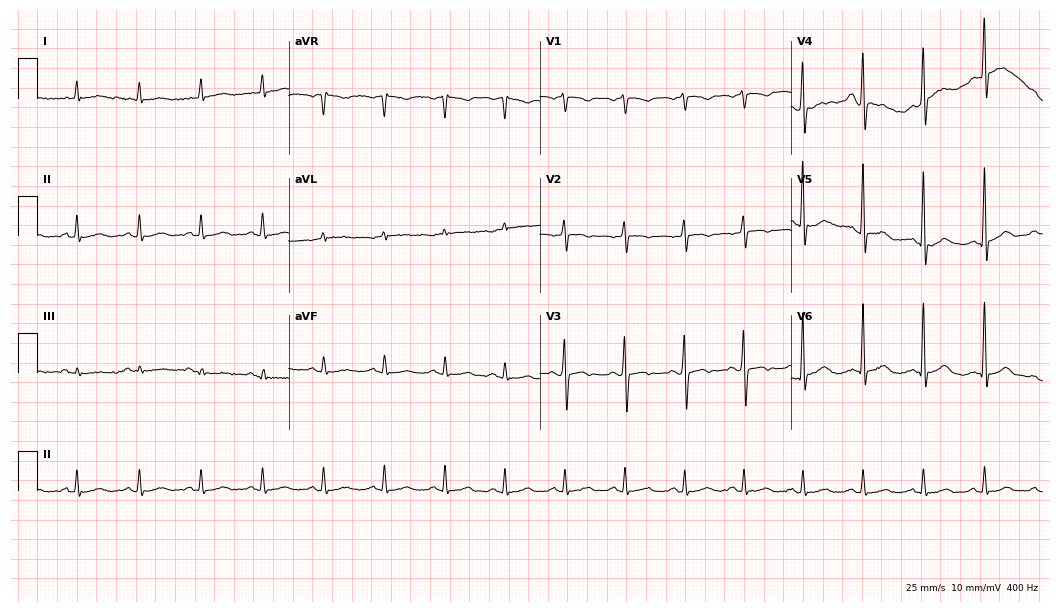
Electrocardiogram, a 60-year-old female patient. Of the six screened findings (first-degree AV block, right bundle branch block, left bundle branch block, sinus bradycardia, atrial fibrillation, sinus tachycardia), none is recorded.